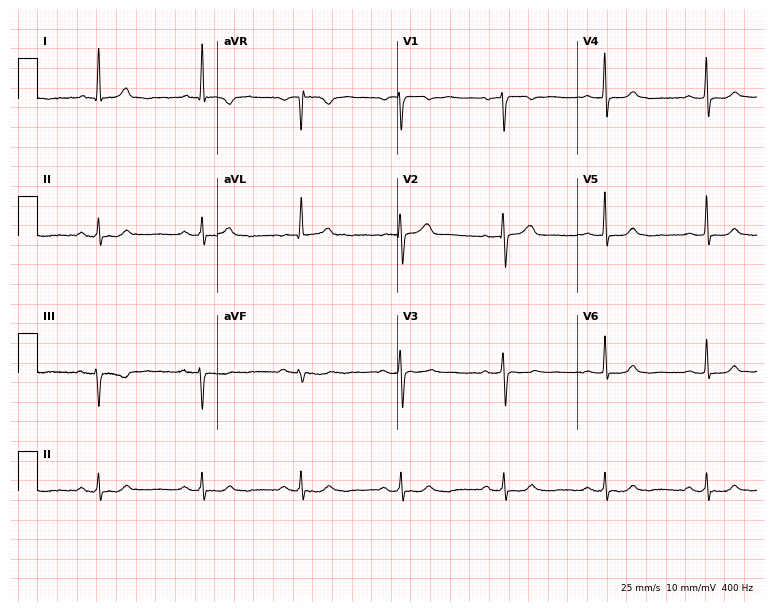
Electrocardiogram, a 78-year-old woman. Overall reading on record: normal ECG.